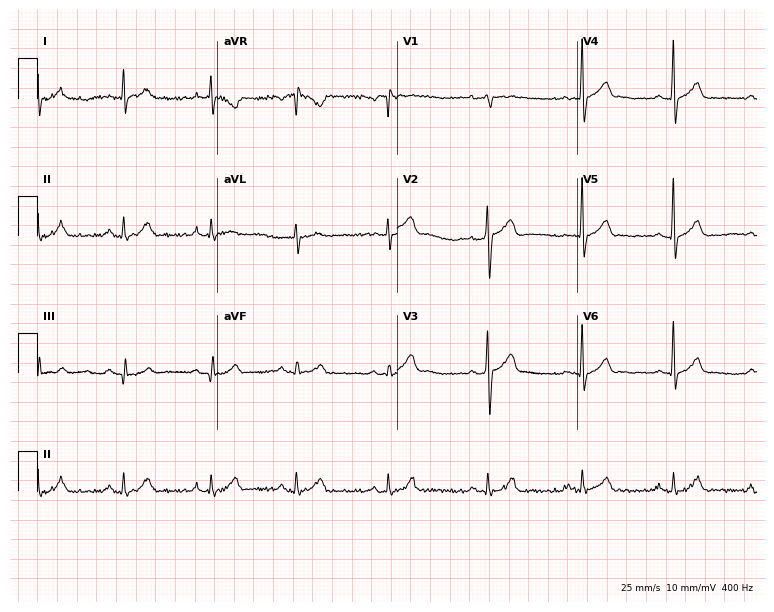
12-lead ECG from a 26-year-old man. Labelled as a normal ECG.